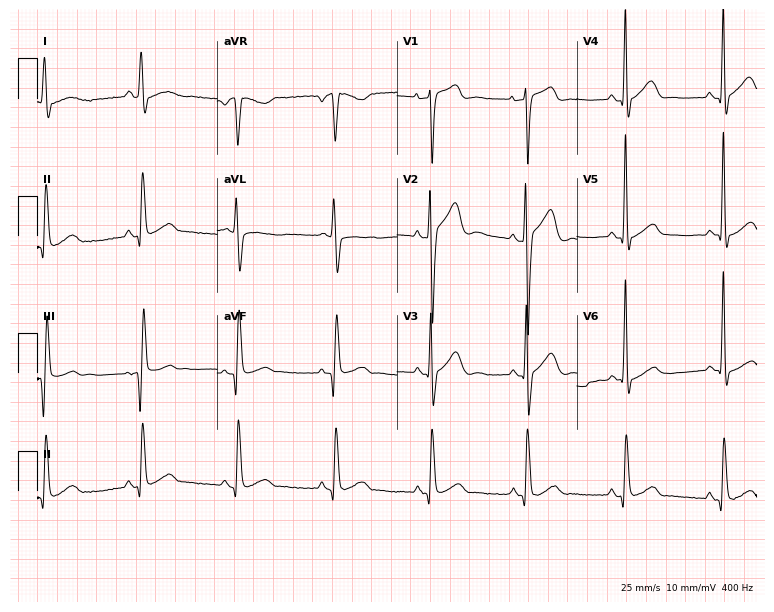
Resting 12-lead electrocardiogram (7.3-second recording at 400 Hz). Patient: a male, 45 years old. None of these six findings is recorded: first-degree AV block, right bundle branch block (RBBB), left bundle branch block (LBBB), sinus bradycardia, atrial fibrillation (AF), sinus tachycardia.